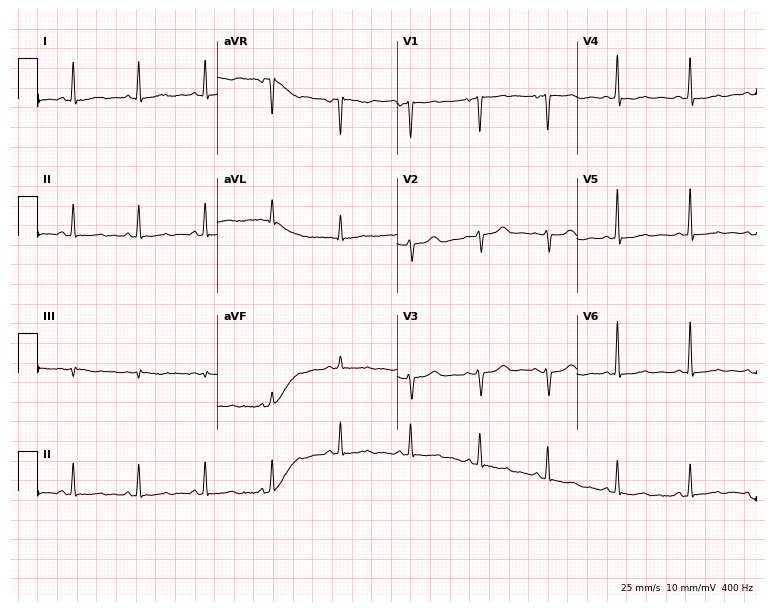
ECG (7.3-second recording at 400 Hz) — a woman, 45 years old. Screened for six findings — first-degree AV block, right bundle branch block, left bundle branch block, sinus bradycardia, atrial fibrillation, sinus tachycardia — none is recorded.